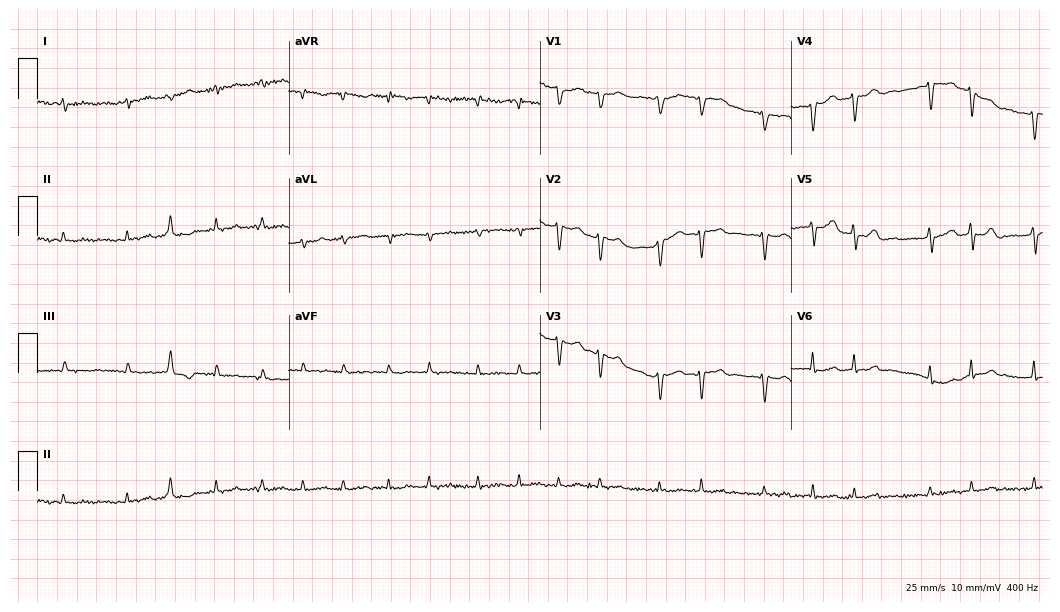
ECG (10.2-second recording at 400 Hz) — a man, 80 years old. Findings include atrial fibrillation.